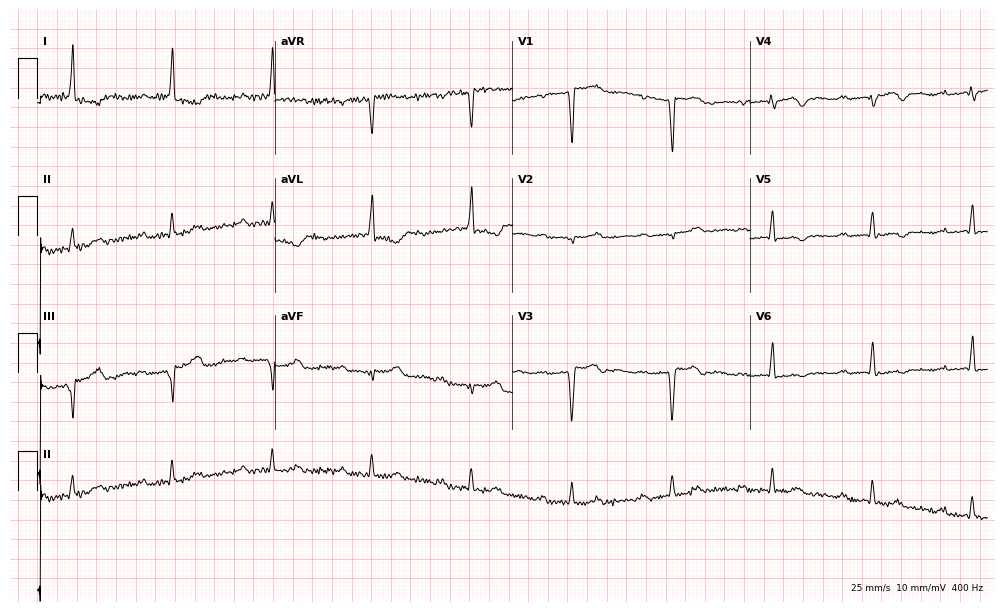
ECG (9.7-second recording at 400 Hz) — a woman, 81 years old. Screened for six findings — first-degree AV block, right bundle branch block, left bundle branch block, sinus bradycardia, atrial fibrillation, sinus tachycardia — none is recorded.